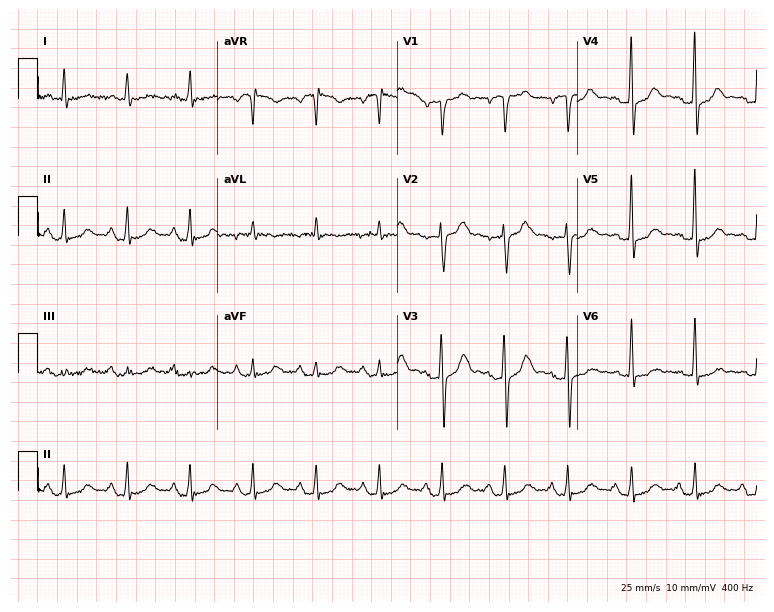
Resting 12-lead electrocardiogram (7.3-second recording at 400 Hz). Patient: a 68-year-old male. Read as a normal ECG.